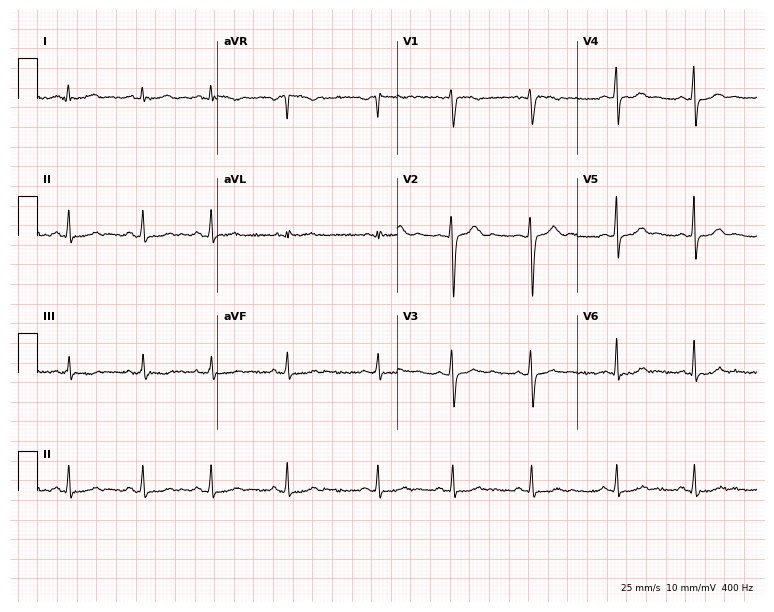
12-lead ECG from a woman, 25 years old (7.3-second recording at 400 Hz). No first-degree AV block, right bundle branch block, left bundle branch block, sinus bradycardia, atrial fibrillation or sinus tachycardia recorded for this tracing. Findings outside these six are not listed.